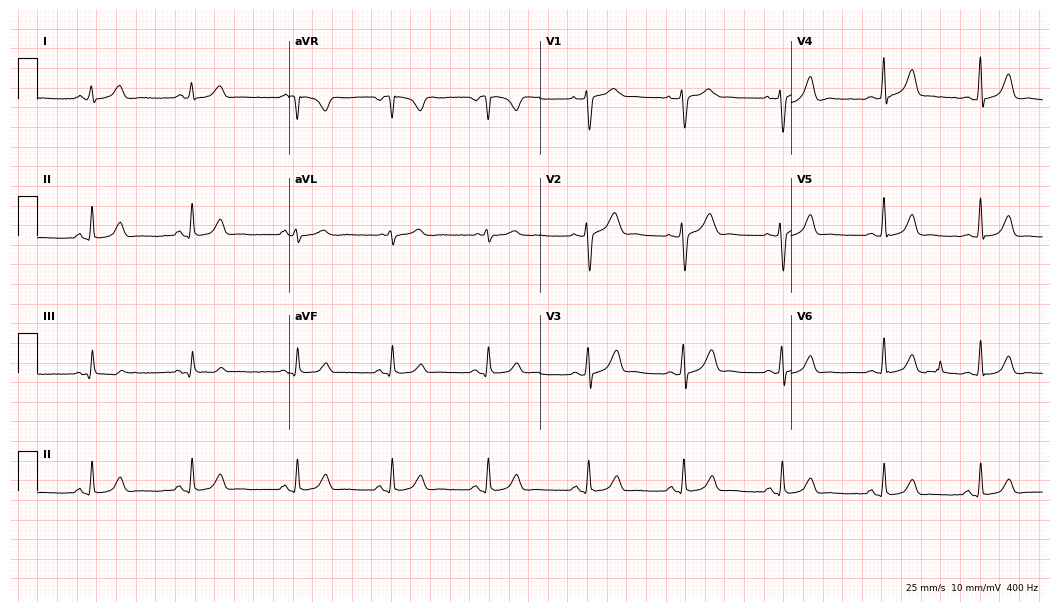
Electrocardiogram (10.2-second recording at 400 Hz), a 34-year-old woman. Overall reading on record: normal ECG.